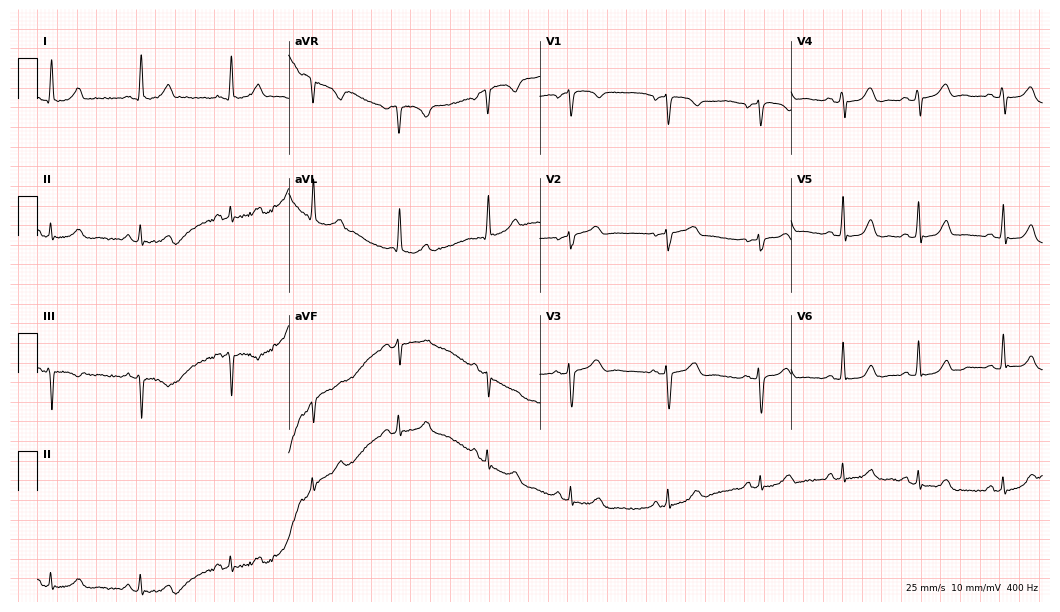
12-lead ECG from a female patient, 54 years old (10.2-second recording at 400 Hz). Recorded interpretation: within normal limits.